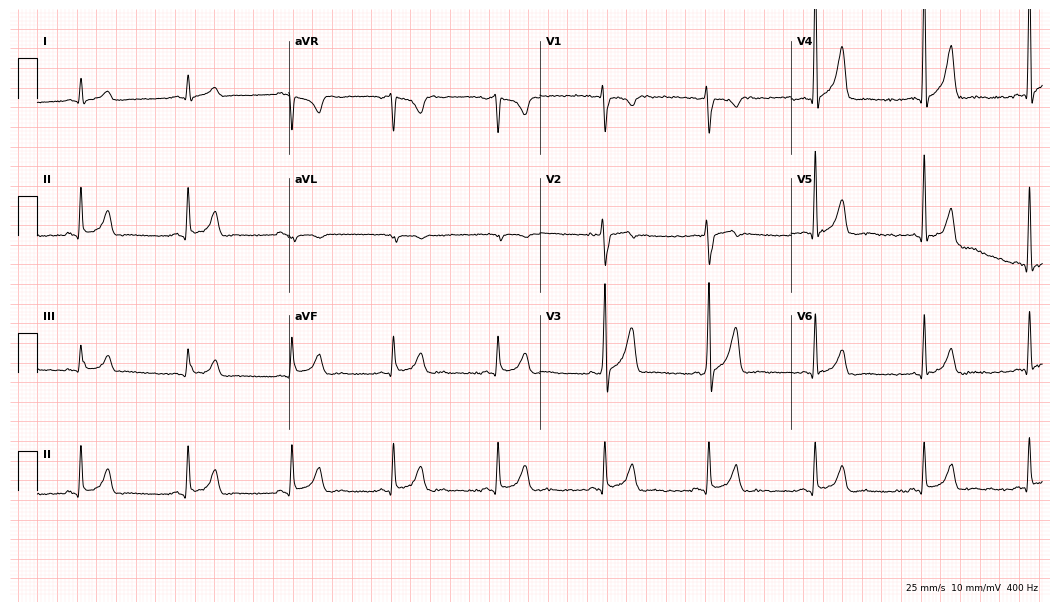
12-lead ECG from a 38-year-old man (10.2-second recording at 400 Hz). No first-degree AV block, right bundle branch block (RBBB), left bundle branch block (LBBB), sinus bradycardia, atrial fibrillation (AF) or sinus tachycardia recorded for this tracing.